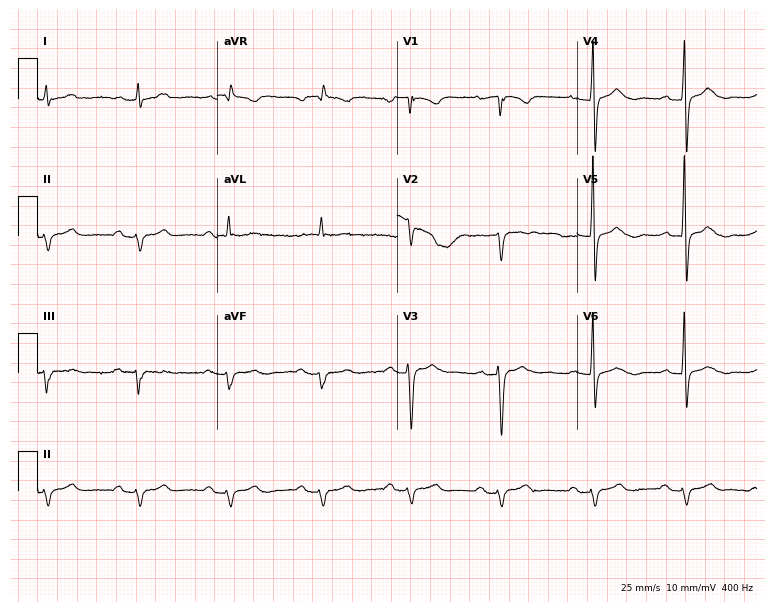
12-lead ECG from a male, 67 years old (7.3-second recording at 400 Hz). No first-degree AV block, right bundle branch block, left bundle branch block, sinus bradycardia, atrial fibrillation or sinus tachycardia recorded for this tracing.